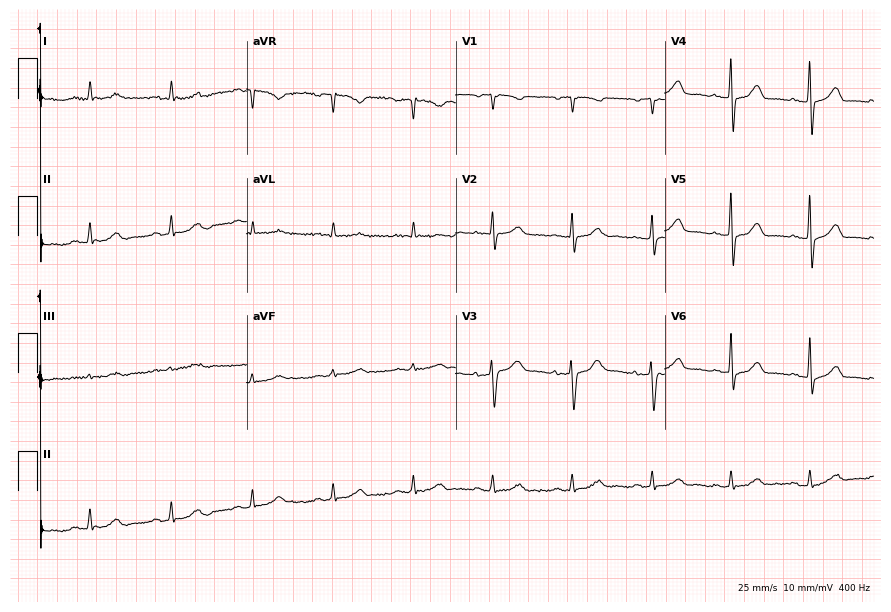
ECG — a woman, 60 years old. Labelled as a normal ECG.